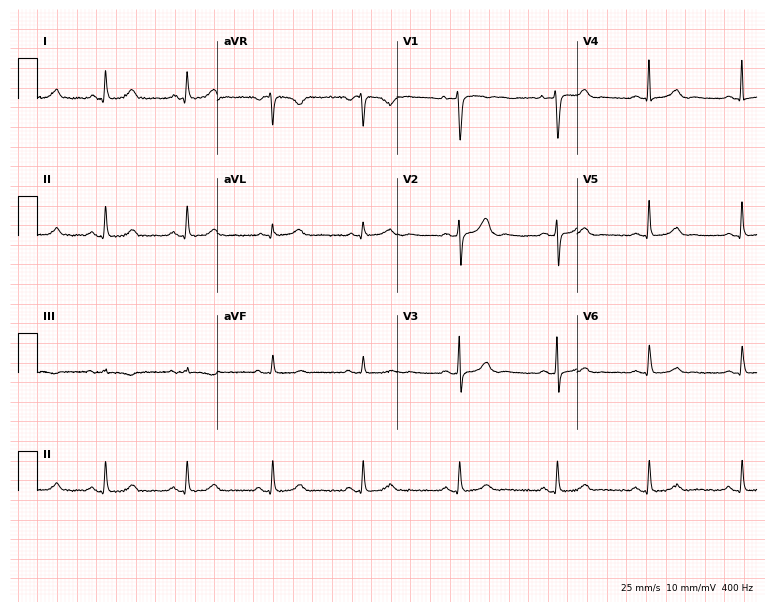
ECG (7.3-second recording at 400 Hz) — a 45-year-old female patient. Labelled as a normal ECG.